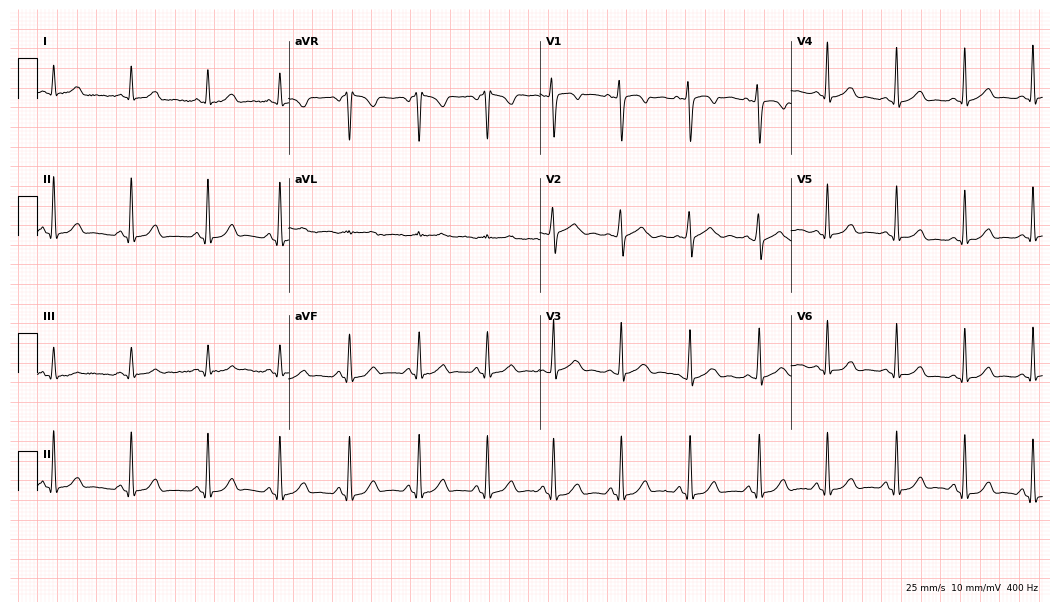
12-lead ECG (10.2-second recording at 400 Hz) from a female patient, 17 years old. Labelled as a normal ECG.